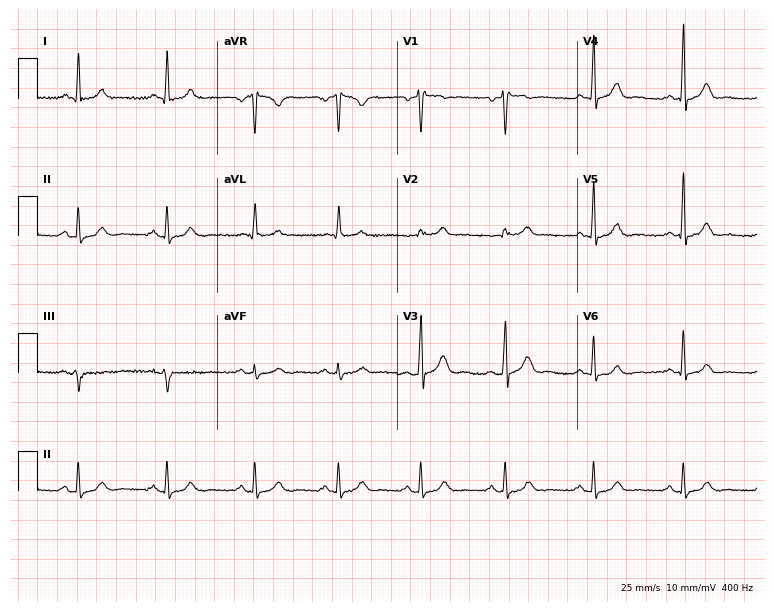
ECG — a male patient, 46 years old. Labelled as a normal ECG.